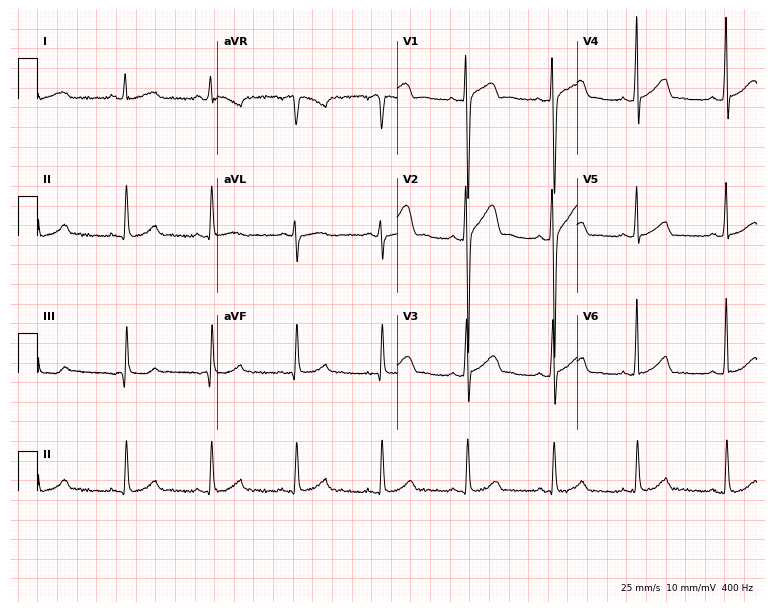
ECG — a male, 25 years old. Labelled as a normal ECG.